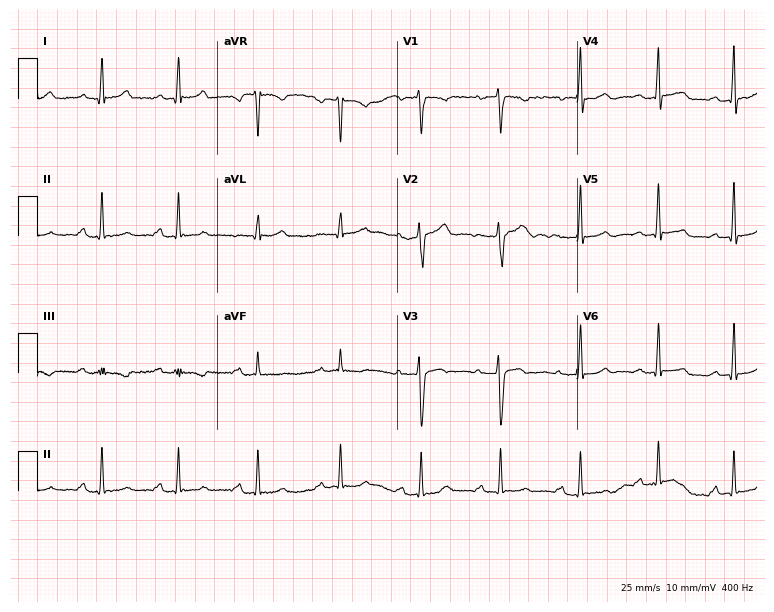
Electrocardiogram (7.3-second recording at 400 Hz), a 32-year-old female patient. Interpretation includes first-degree AV block.